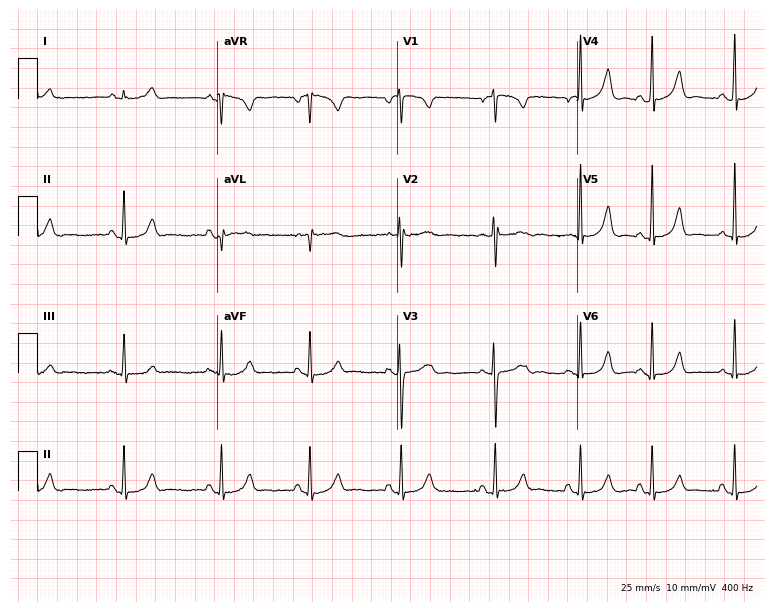
12-lead ECG from a female, 18 years old. Labelled as a normal ECG.